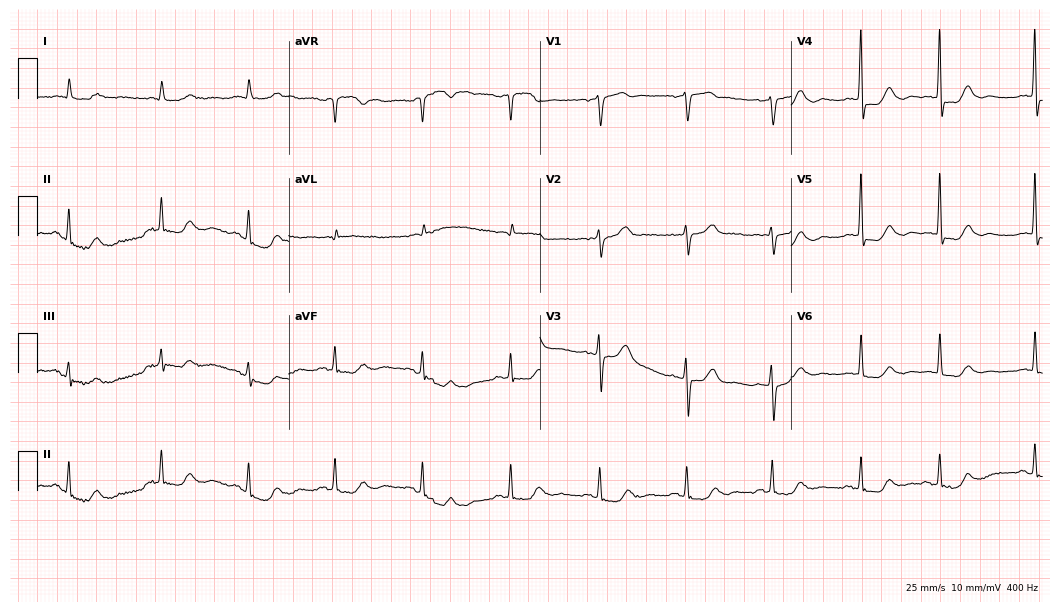
ECG — a female, 78 years old. Screened for six findings — first-degree AV block, right bundle branch block (RBBB), left bundle branch block (LBBB), sinus bradycardia, atrial fibrillation (AF), sinus tachycardia — none is recorded. Only these six findings were labelled.